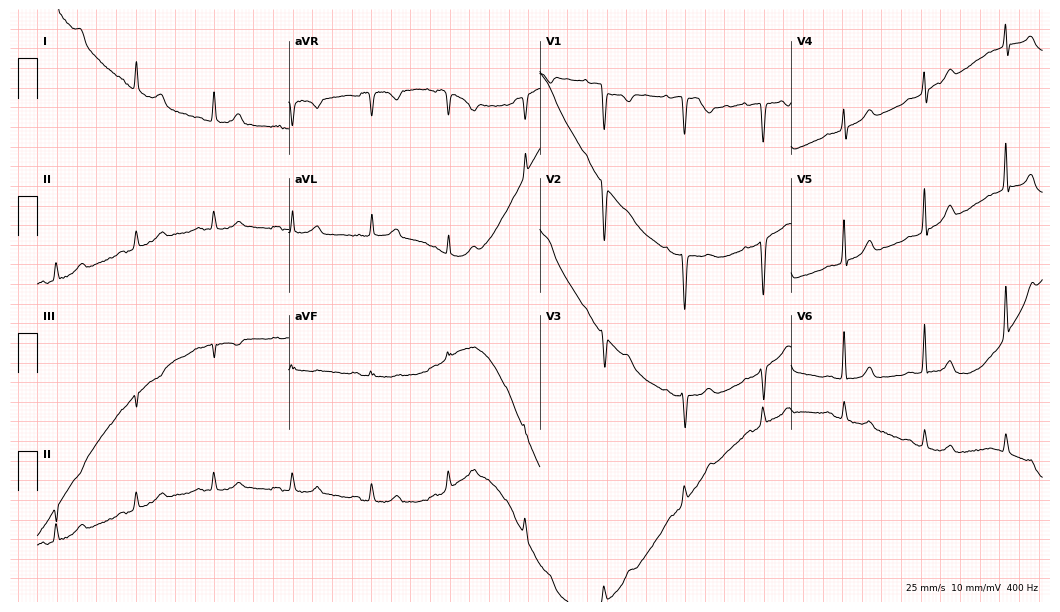
Standard 12-lead ECG recorded from a female patient, 53 years old. Read as a normal ECG.